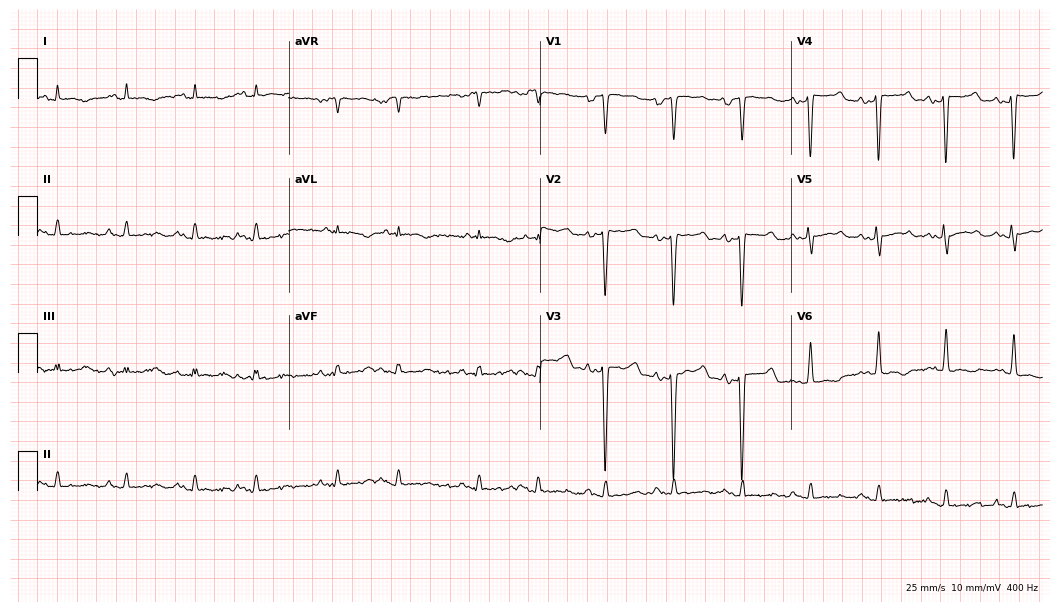
Standard 12-lead ECG recorded from a 57-year-old male patient (10.2-second recording at 400 Hz). None of these six findings is recorded: first-degree AV block, right bundle branch block, left bundle branch block, sinus bradycardia, atrial fibrillation, sinus tachycardia.